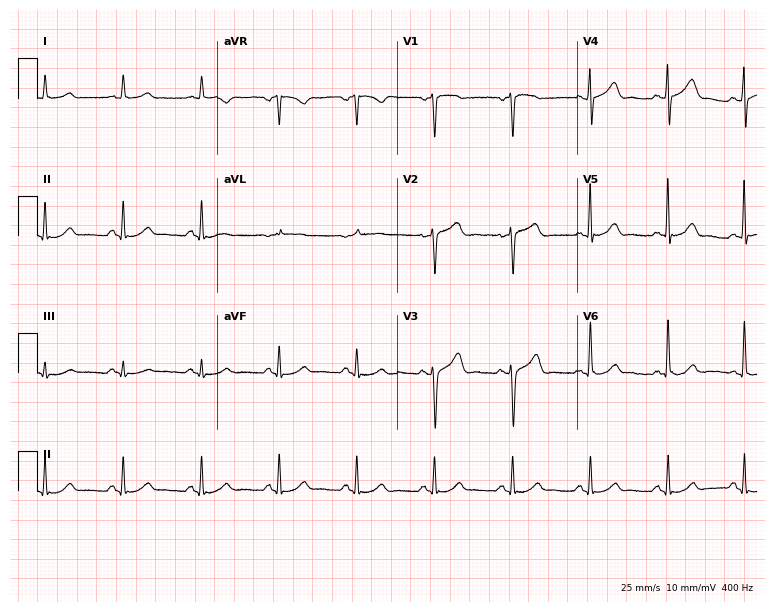
ECG (7.3-second recording at 400 Hz) — a 73-year-old male patient. Labelled as a normal ECG.